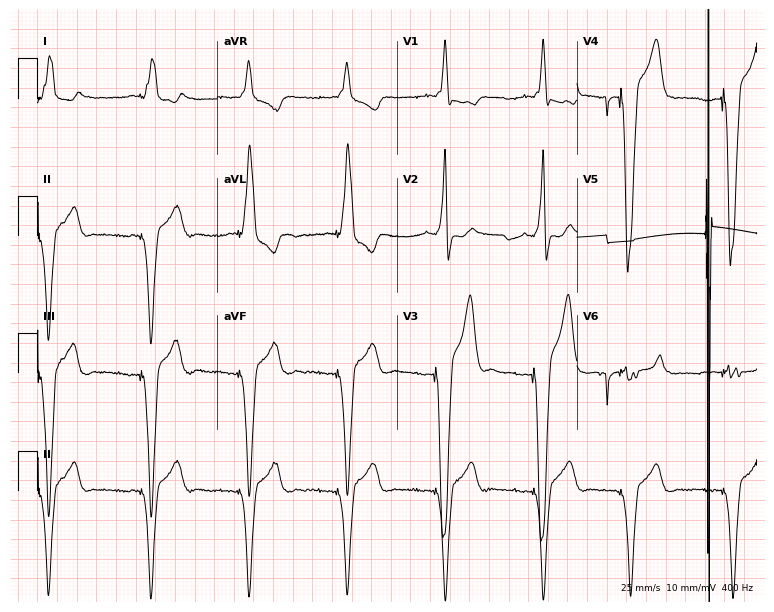
Standard 12-lead ECG recorded from a 30-year-old man. None of these six findings is recorded: first-degree AV block, right bundle branch block, left bundle branch block, sinus bradycardia, atrial fibrillation, sinus tachycardia.